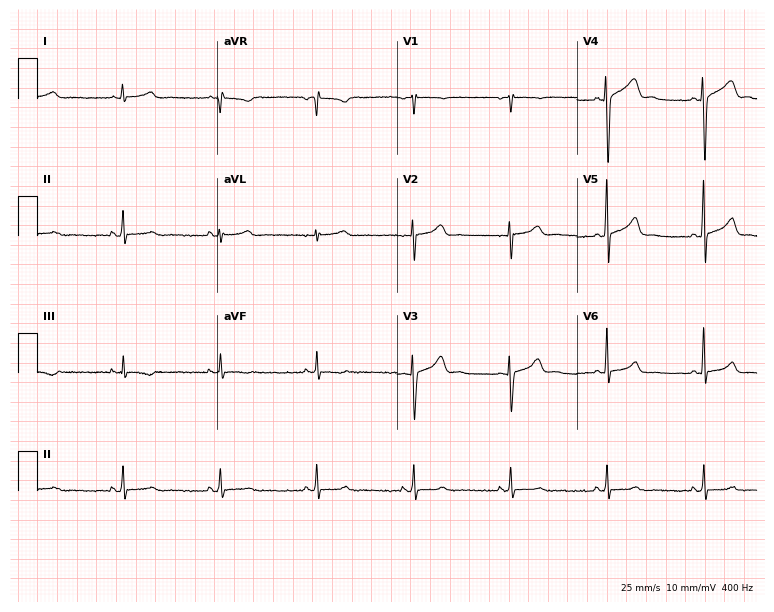
Standard 12-lead ECG recorded from a 17-year-old female (7.3-second recording at 400 Hz). None of these six findings is recorded: first-degree AV block, right bundle branch block, left bundle branch block, sinus bradycardia, atrial fibrillation, sinus tachycardia.